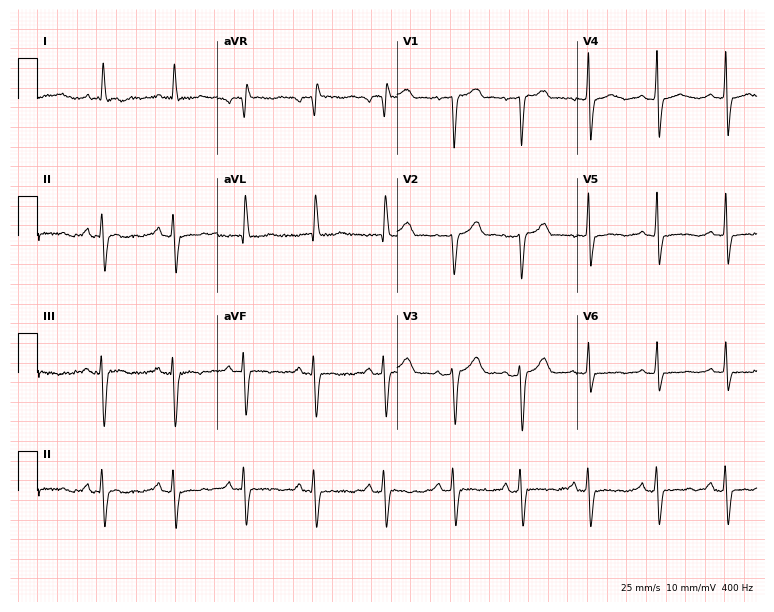
ECG — an 82-year-old woman. Screened for six findings — first-degree AV block, right bundle branch block, left bundle branch block, sinus bradycardia, atrial fibrillation, sinus tachycardia — none is recorded.